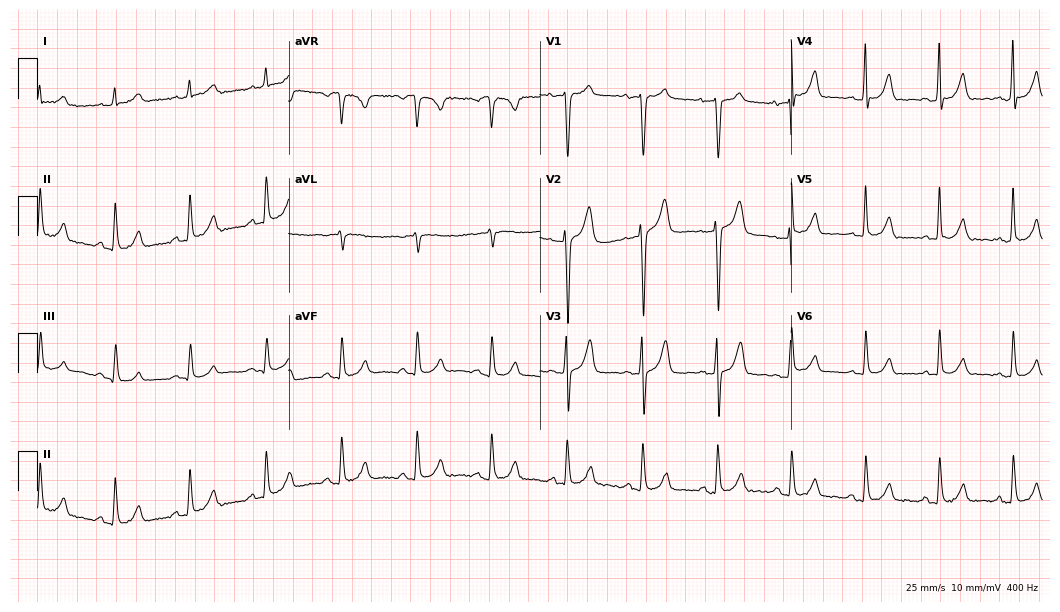
Resting 12-lead electrocardiogram (10.2-second recording at 400 Hz). Patient: a 76-year-old woman. Read as a normal ECG.